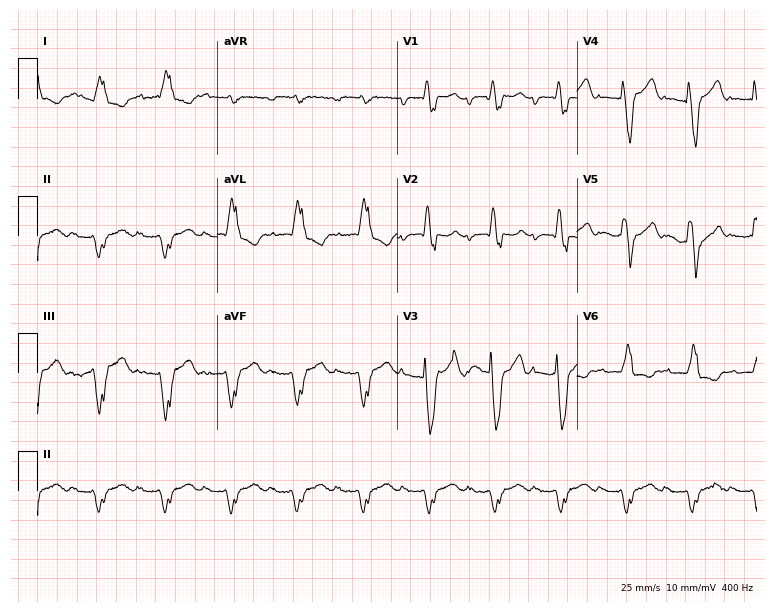
12-lead ECG from a 60-year-old male. Shows first-degree AV block, right bundle branch block.